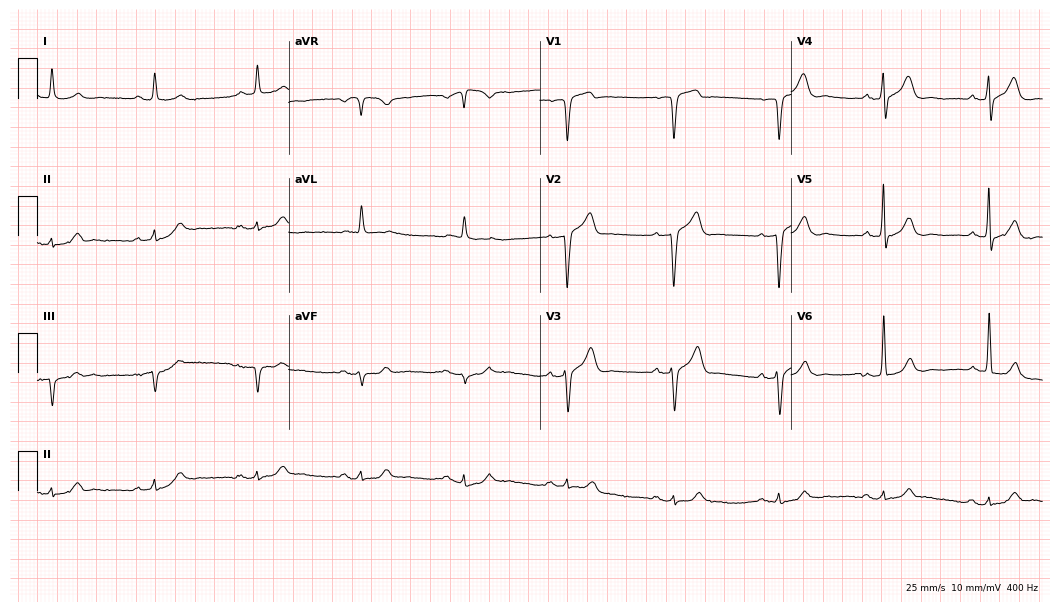
Standard 12-lead ECG recorded from a male patient, 84 years old. None of these six findings is recorded: first-degree AV block, right bundle branch block, left bundle branch block, sinus bradycardia, atrial fibrillation, sinus tachycardia.